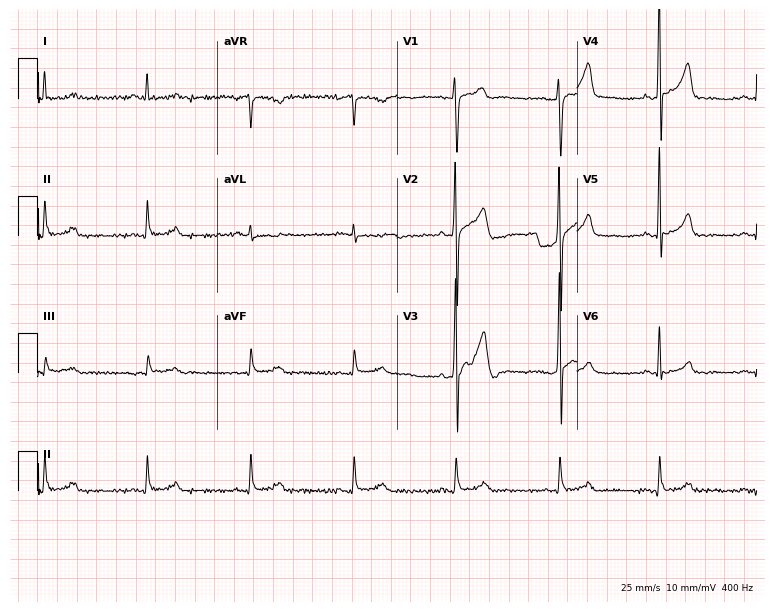
12-lead ECG (7.3-second recording at 400 Hz) from a male, 37 years old. Screened for six findings — first-degree AV block, right bundle branch block, left bundle branch block, sinus bradycardia, atrial fibrillation, sinus tachycardia — none is recorded.